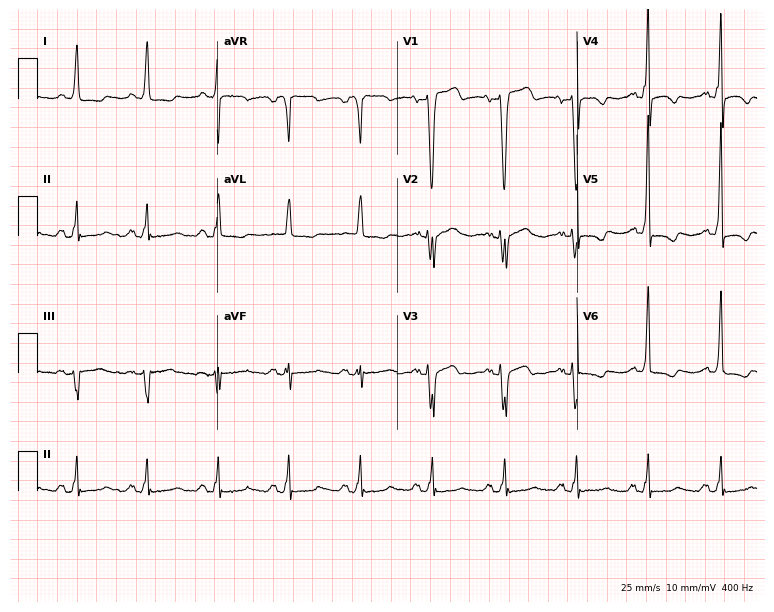
ECG (7.3-second recording at 400 Hz) — a 66-year-old female patient. Screened for six findings — first-degree AV block, right bundle branch block, left bundle branch block, sinus bradycardia, atrial fibrillation, sinus tachycardia — none is recorded. Only these six findings were labelled.